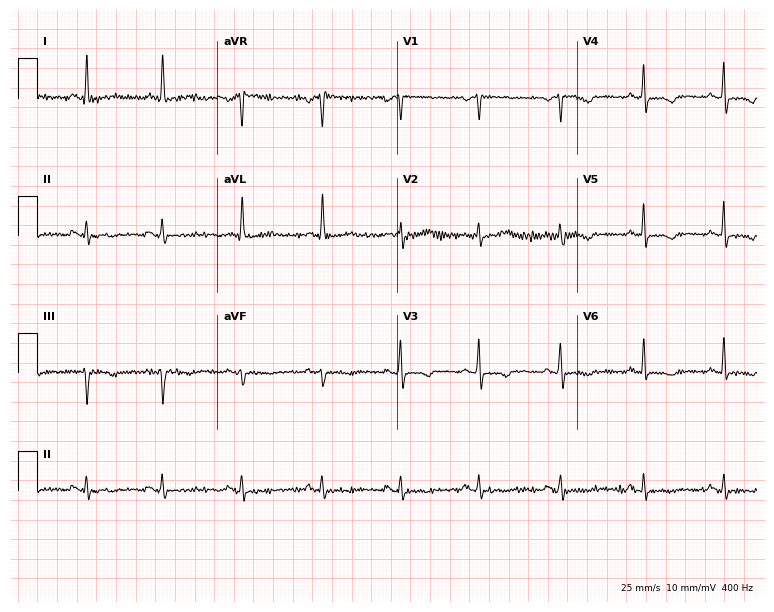
Standard 12-lead ECG recorded from a female, 47 years old (7.3-second recording at 400 Hz). Read as a normal ECG.